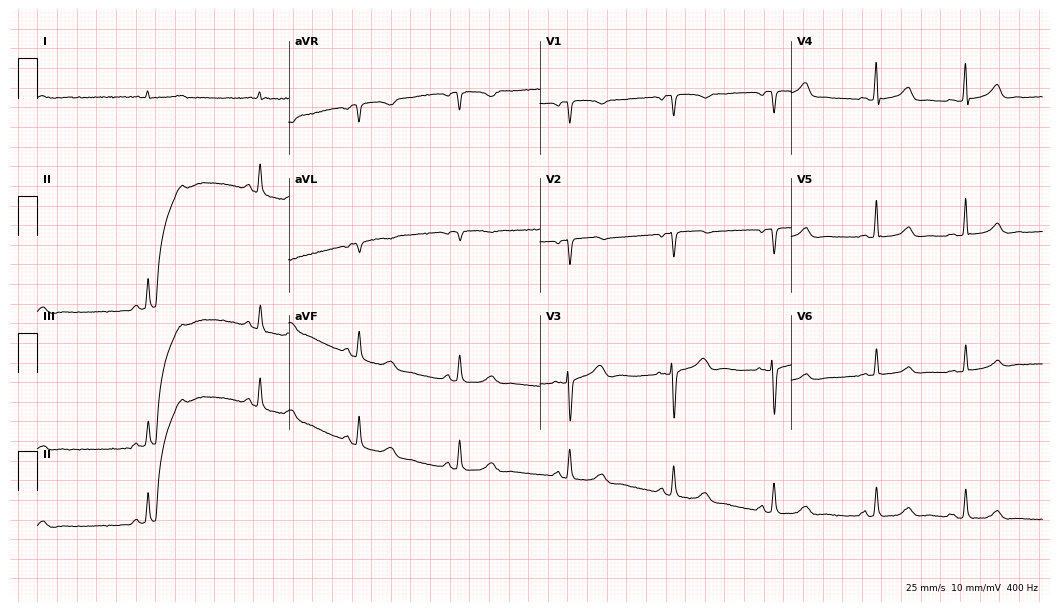
Standard 12-lead ECG recorded from a female, 56 years old. None of these six findings is recorded: first-degree AV block, right bundle branch block, left bundle branch block, sinus bradycardia, atrial fibrillation, sinus tachycardia.